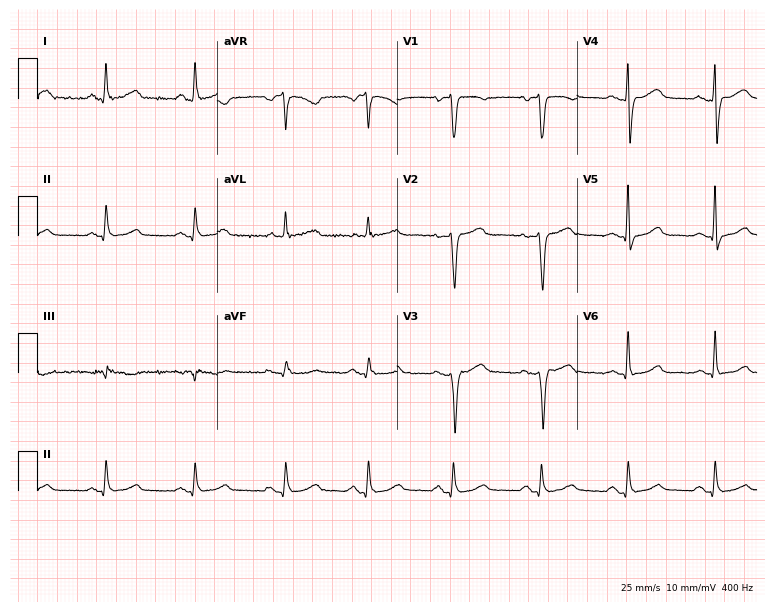
Standard 12-lead ECG recorded from a female patient, 51 years old (7.3-second recording at 400 Hz). None of these six findings is recorded: first-degree AV block, right bundle branch block, left bundle branch block, sinus bradycardia, atrial fibrillation, sinus tachycardia.